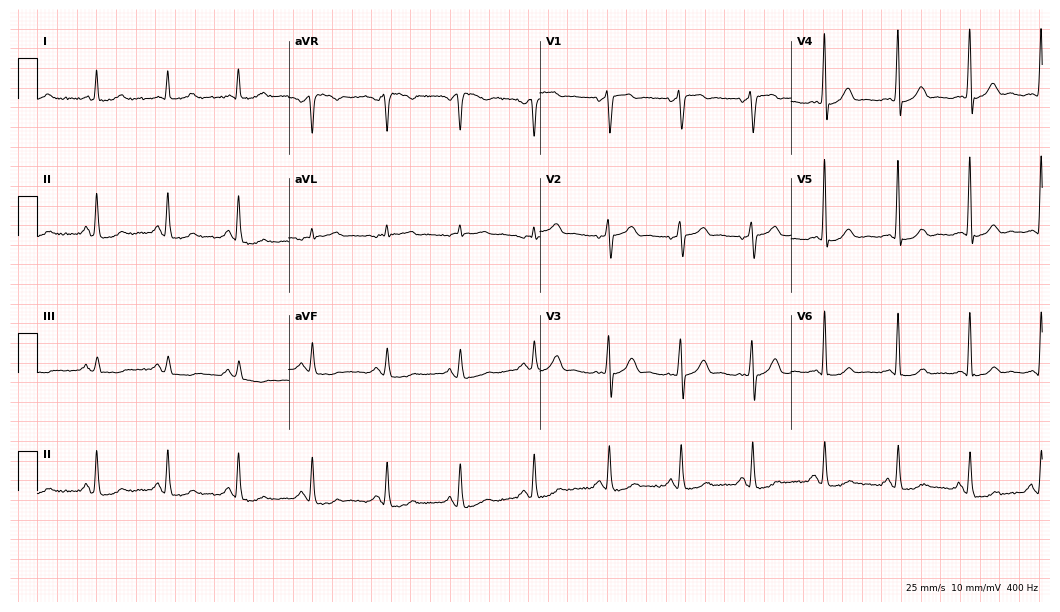
Electrocardiogram, a male patient, 76 years old. Overall reading on record: normal ECG.